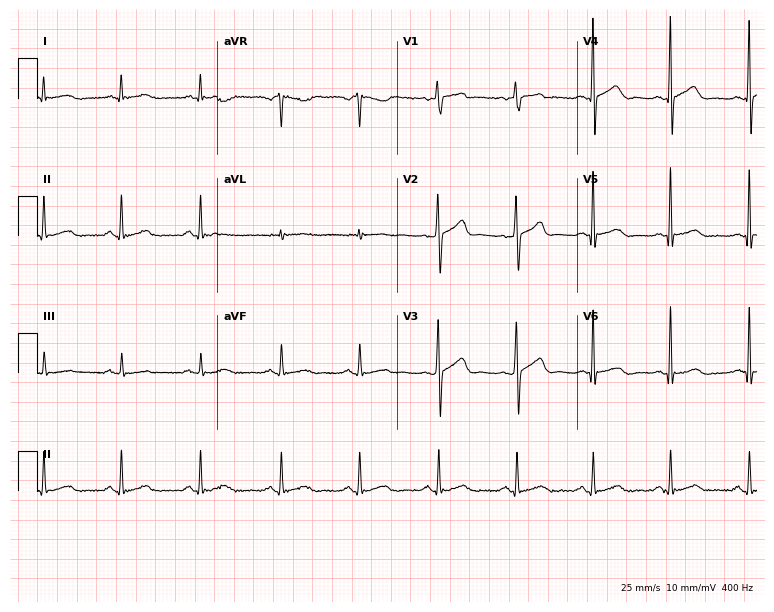
Electrocardiogram (7.3-second recording at 400 Hz), a man, 59 years old. Overall reading on record: normal ECG.